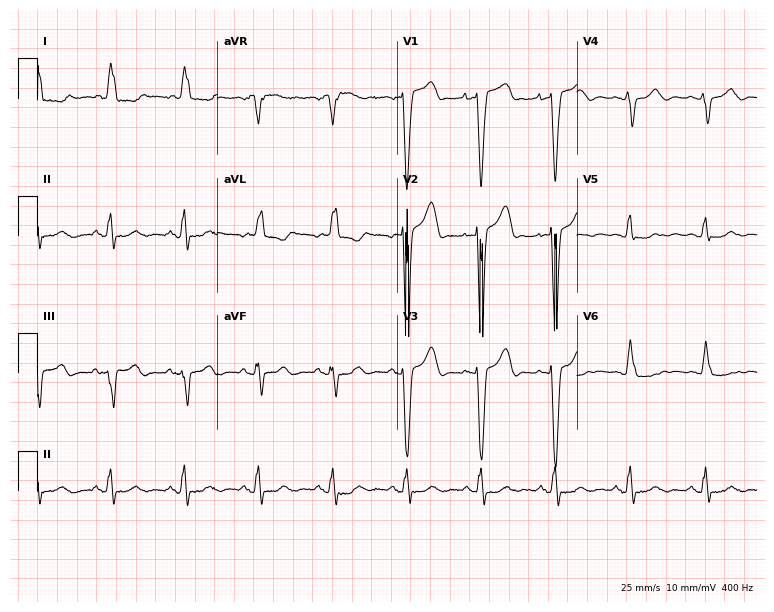
Standard 12-lead ECG recorded from a woman, 77 years old. The tracing shows left bundle branch block.